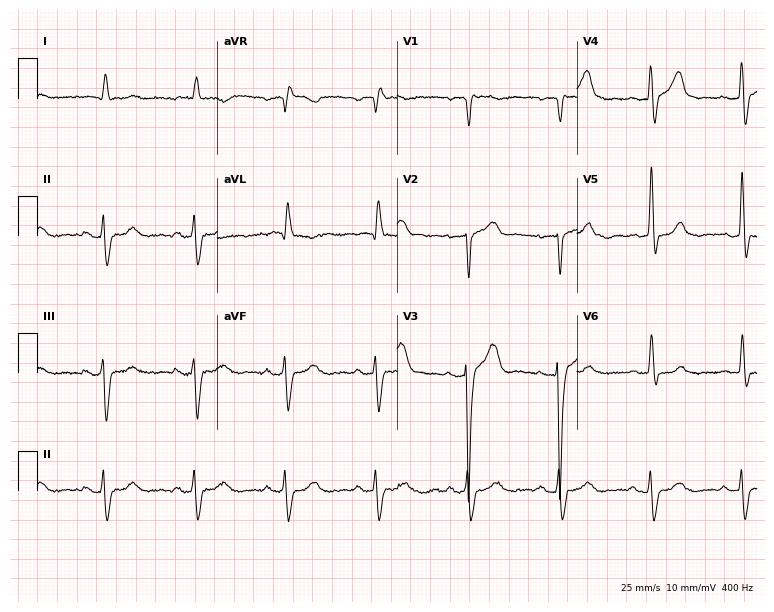
ECG — an 85-year-old man. Screened for six findings — first-degree AV block, right bundle branch block, left bundle branch block, sinus bradycardia, atrial fibrillation, sinus tachycardia — none is recorded. Other findings, if any, are not listed.